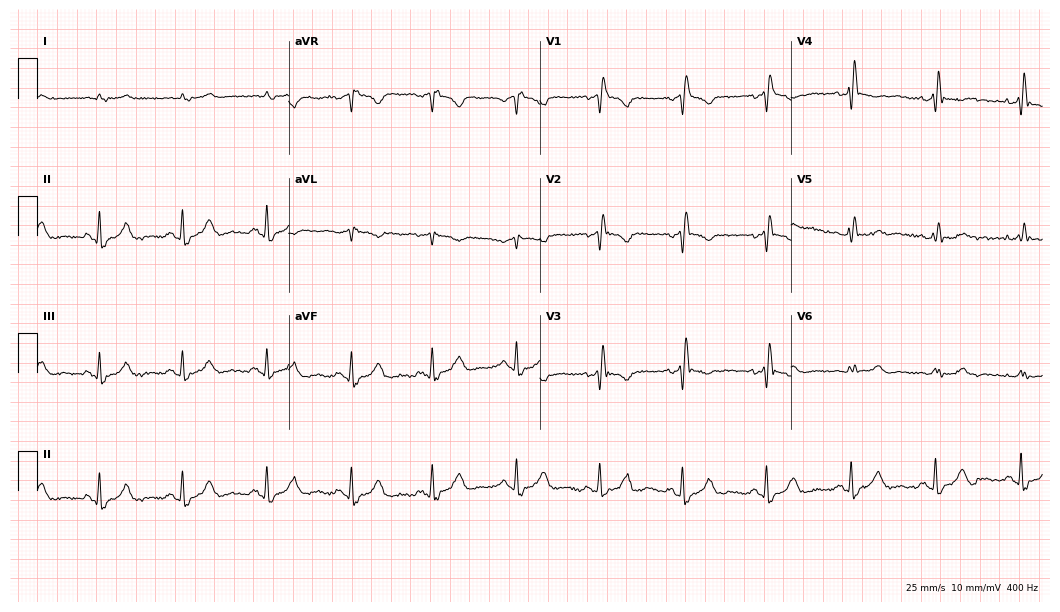
Standard 12-lead ECG recorded from a male patient, 81 years old. The tracing shows right bundle branch block.